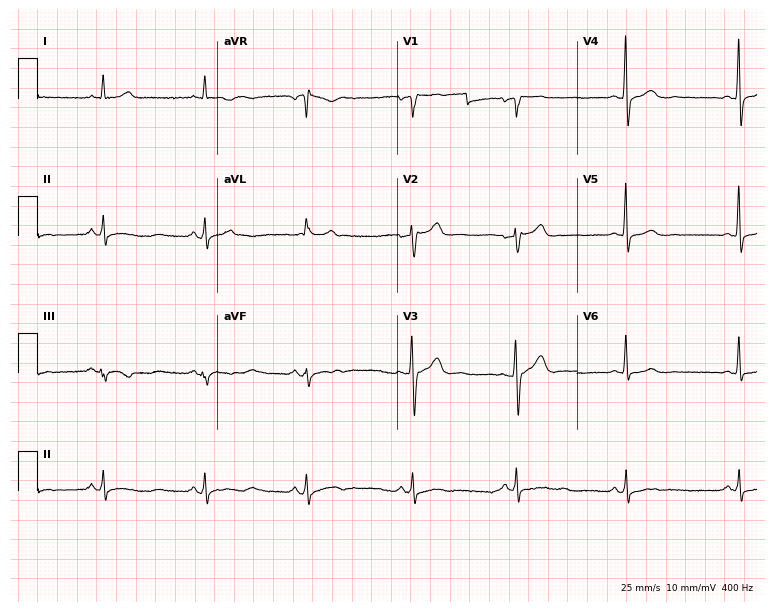
12-lead ECG from a 54-year-old man (7.3-second recording at 400 Hz). Recorded interpretation: within normal limits.